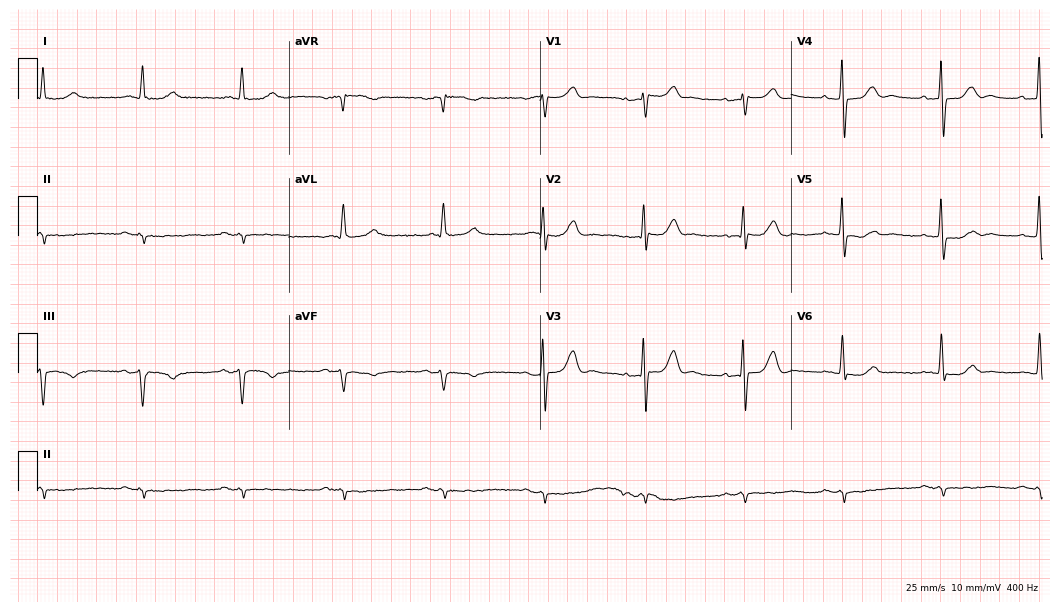
Standard 12-lead ECG recorded from a male patient, 70 years old (10.2-second recording at 400 Hz). None of these six findings is recorded: first-degree AV block, right bundle branch block, left bundle branch block, sinus bradycardia, atrial fibrillation, sinus tachycardia. Other findings, if any, are not listed.